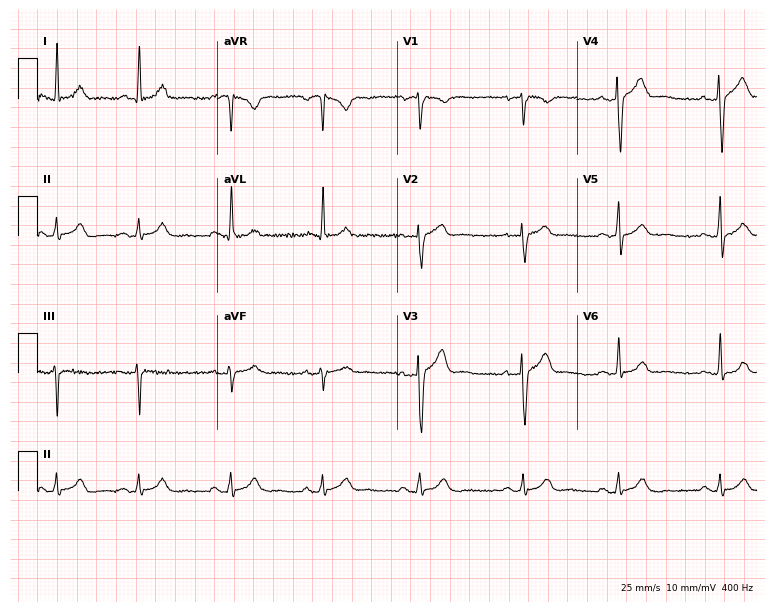
ECG — a 29-year-old male. Labelled as a normal ECG.